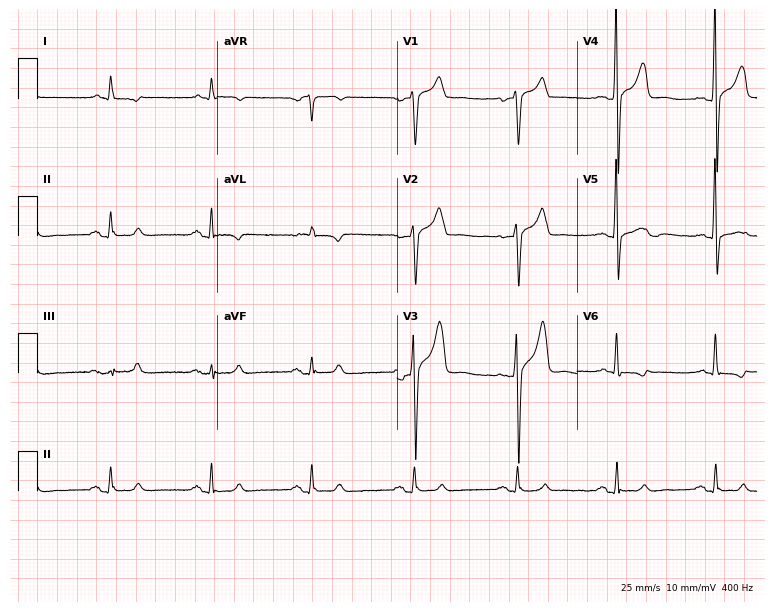
ECG (7.3-second recording at 400 Hz) — a man, 48 years old. Screened for six findings — first-degree AV block, right bundle branch block (RBBB), left bundle branch block (LBBB), sinus bradycardia, atrial fibrillation (AF), sinus tachycardia — none is recorded.